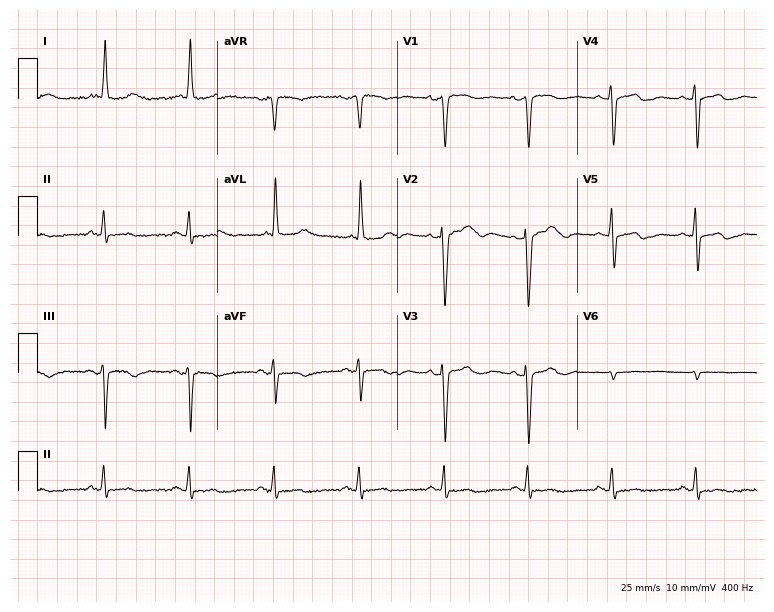
Resting 12-lead electrocardiogram. Patient: a woman, 75 years old. None of these six findings is recorded: first-degree AV block, right bundle branch block (RBBB), left bundle branch block (LBBB), sinus bradycardia, atrial fibrillation (AF), sinus tachycardia. Other findings, if any, are not listed.